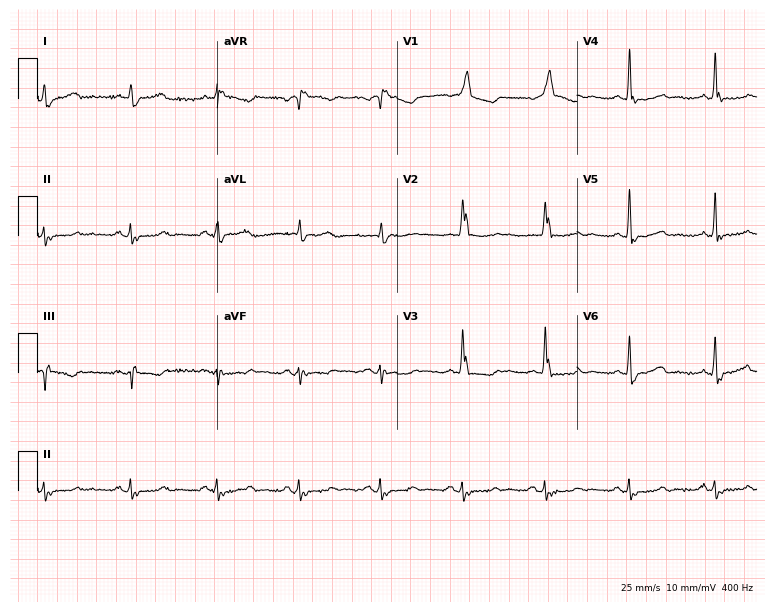
Standard 12-lead ECG recorded from an 89-year-old man (7.3-second recording at 400 Hz). The tracing shows right bundle branch block.